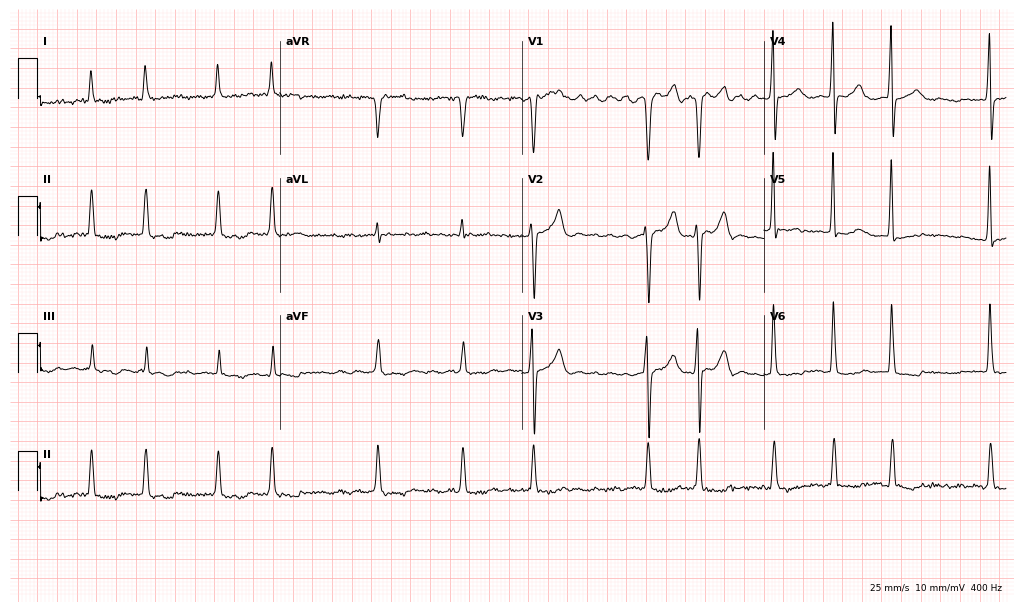
Standard 12-lead ECG recorded from a man, 68 years old. The tracing shows atrial fibrillation (AF).